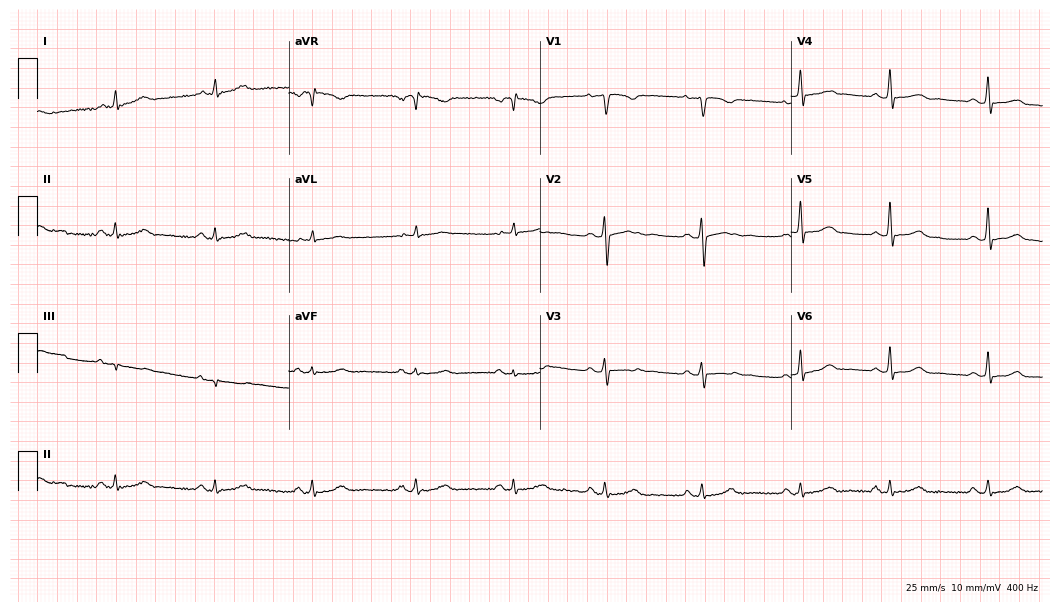
Standard 12-lead ECG recorded from a woman, 30 years old. Read as a normal ECG.